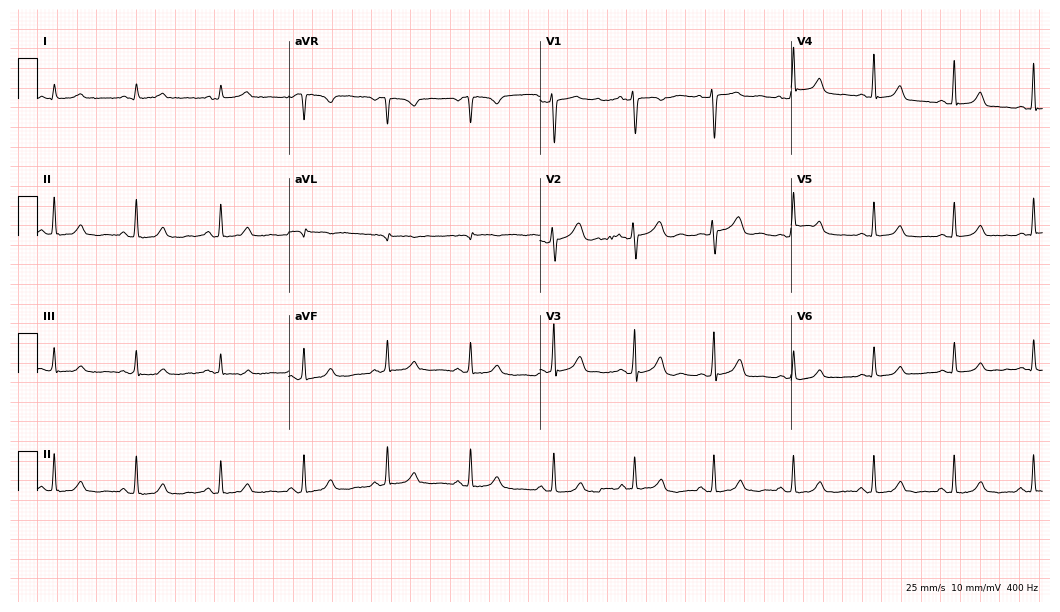
ECG — a female patient, 37 years old. Labelled as a normal ECG.